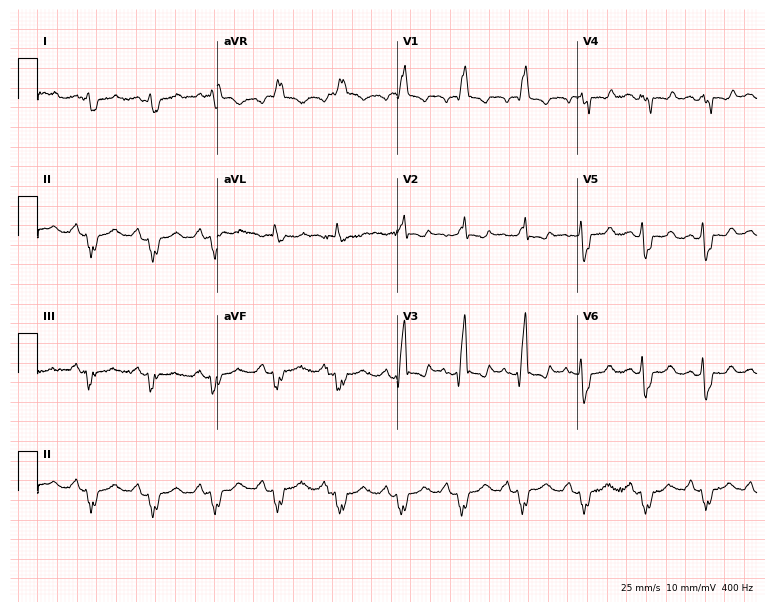
12-lead ECG from a 77-year-old female patient. Shows right bundle branch block.